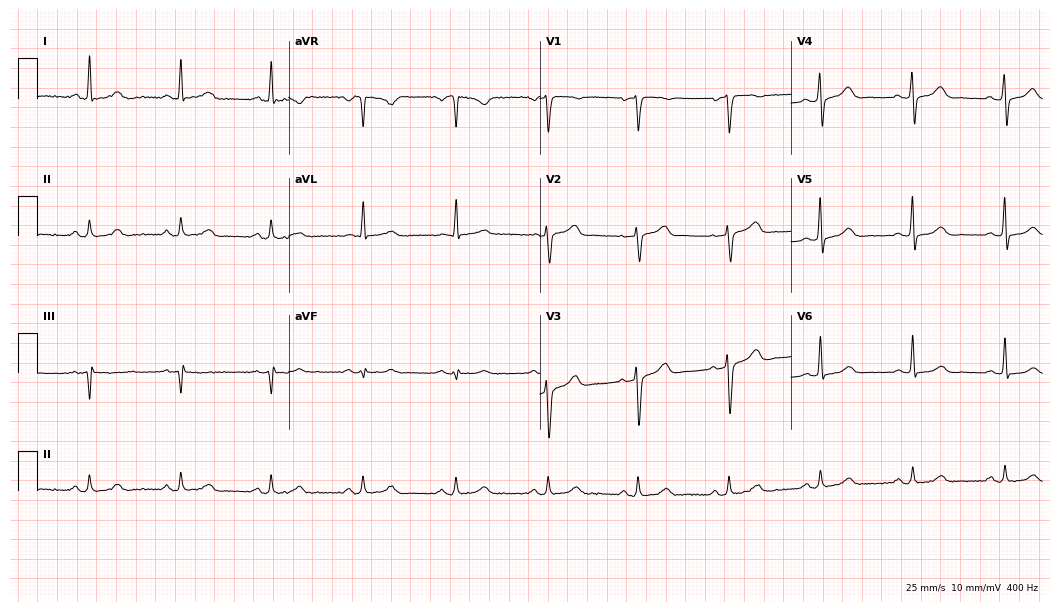
Electrocardiogram, a female, 63 years old. Overall reading on record: normal ECG.